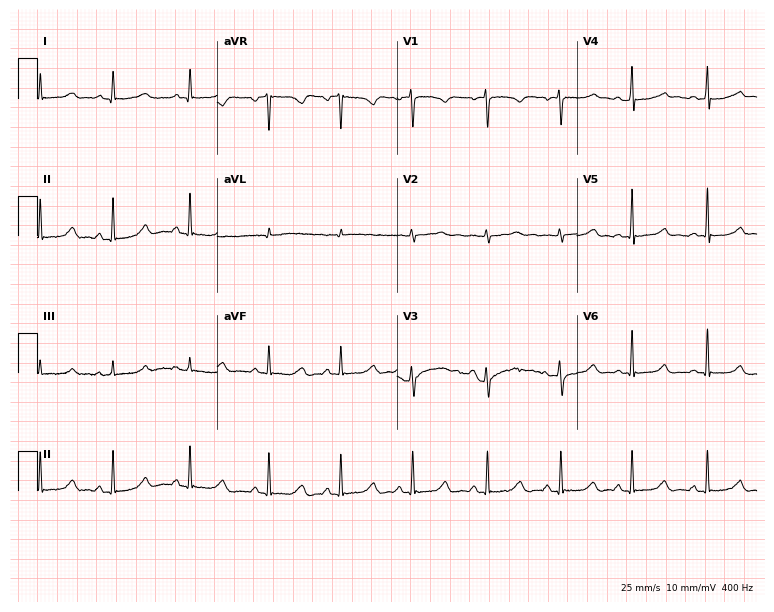
ECG (7.3-second recording at 400 Hz) — a 21-year-old female. Labelled as a normal ECG.